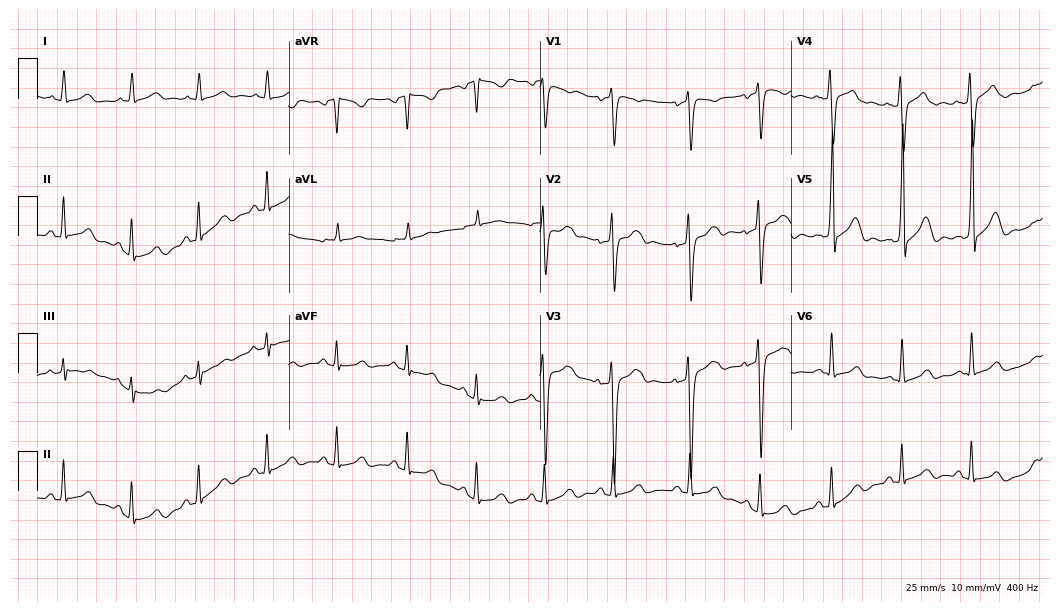
Resting 12-lead electrocardiogram. Patient: a 31-year-old male. Read as a normal ECG.